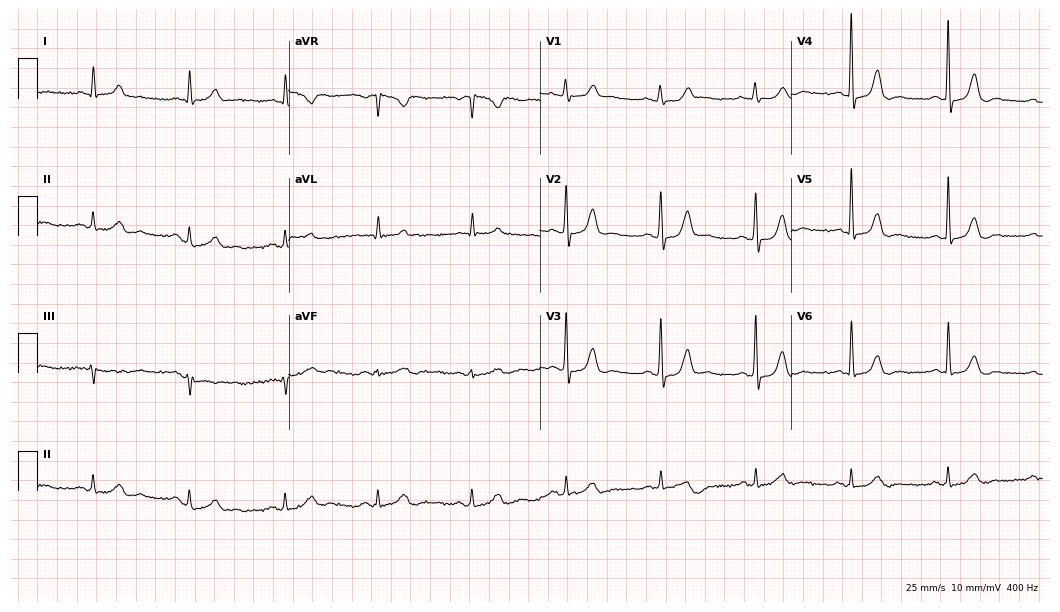
12-lead ECG from an 83-year-old male. Labelled as a normal ECG.